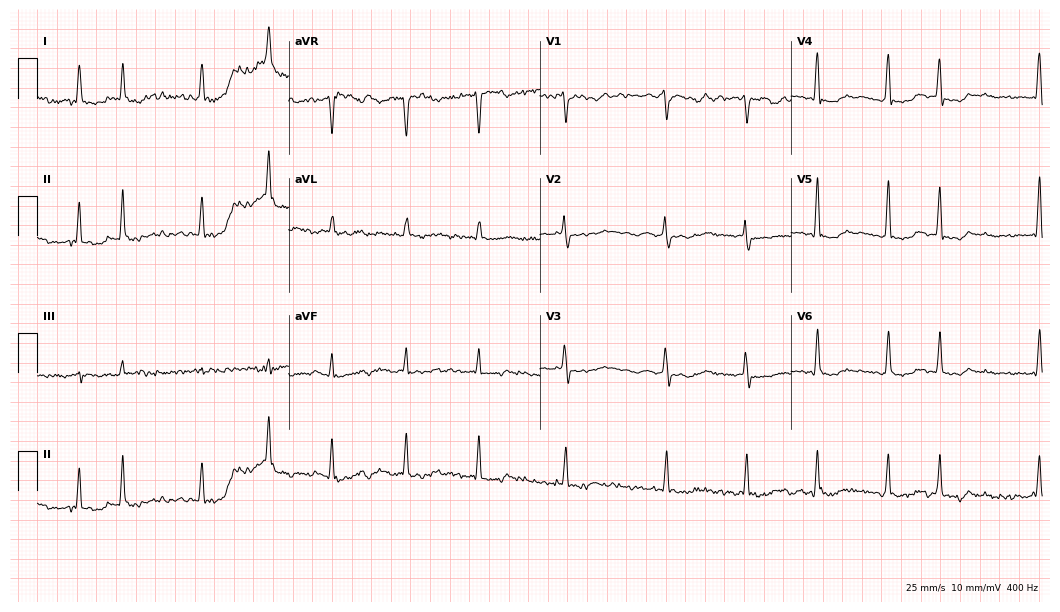
ECG — a 49-year-old female patient. Findings include atrial fibrillation.